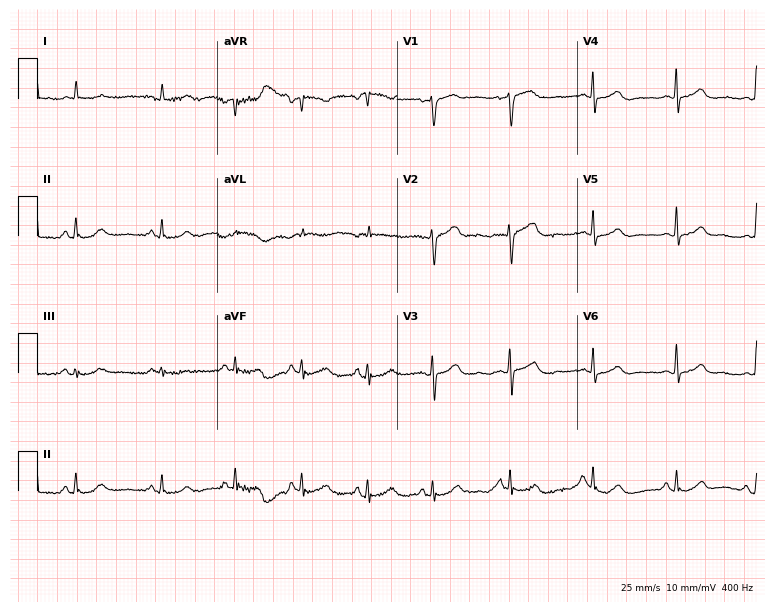
Electrocardiogram, a 55-year-old male. Of the six screened findings (first-degree AV block, right bundle branch block, left bundle branch block, sinus bradycardia, atrial fibrillation, sinus tachycardia), none is recorded.